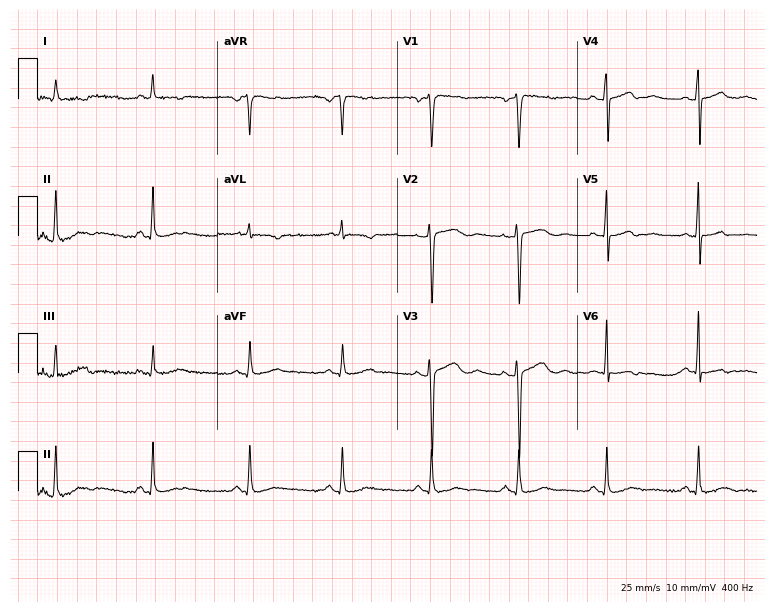
Standard 12-lead ECG recorded from a 42-year-old woman (7.3-second recording at 400 Hz). None of these six findings is recorded: first-degree AV block, right bundle branch block (RBBB), left bundle branch block (LBBB), sinus bradycardia, atrial fibrillation (AF), sinus tachycardia.